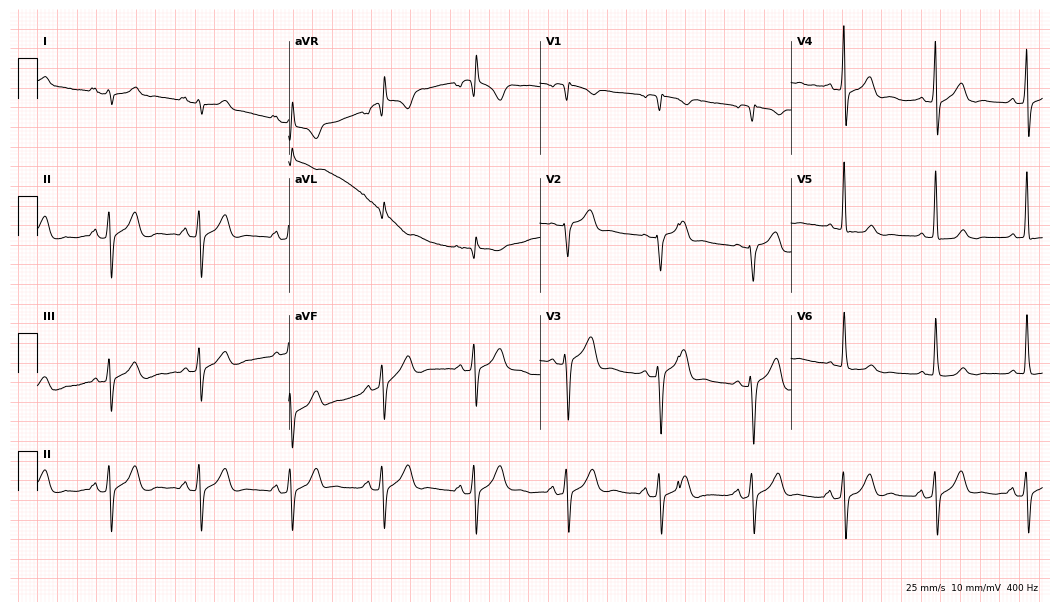
12-lead ECG from a 71-year-old male (10.2-second recording at 400 Hz). No first-degree AV block, right bundle branch block, left bundle branch block, sinus bradycardia, atrial fibrillation or sinus tachycardia recorded for this tracing.